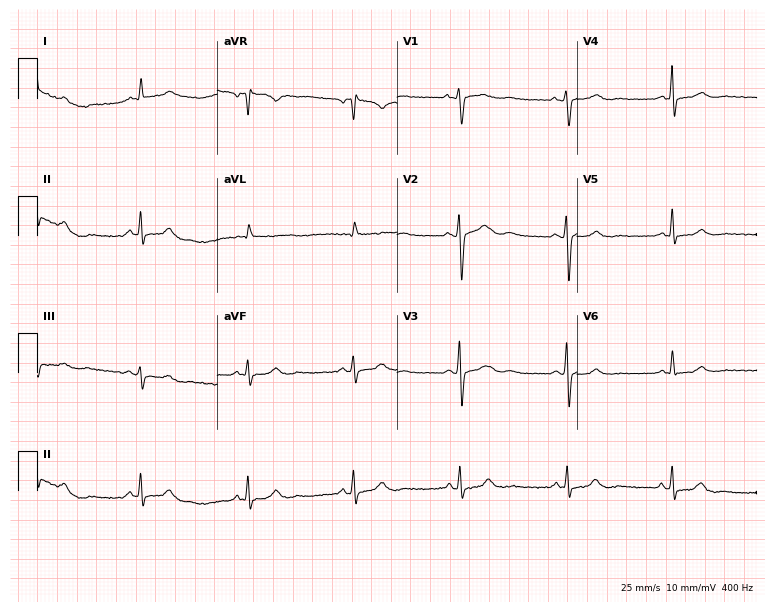
Standard 12-lead ECG recorded from a 40-year-old female (7.3-second recording at 400 Hz). None of these six findings is recorded: first-degree AV block, right bundle branch block, left bundle branch block, sinus bradycardia, atrial fibrillation, sinus tachycardia.